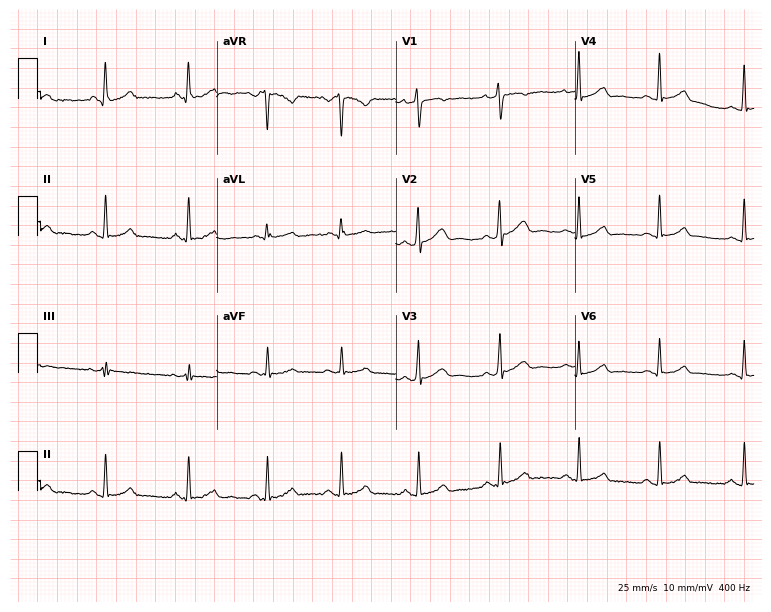
12-lead ECG from a 26-year-old woman. Screened for six findings — first-degree AV block, right bundle branch block, left bundle branch block, sinus bradycardia, atrial fibrillation, sinus tachycardia — none is recorded.